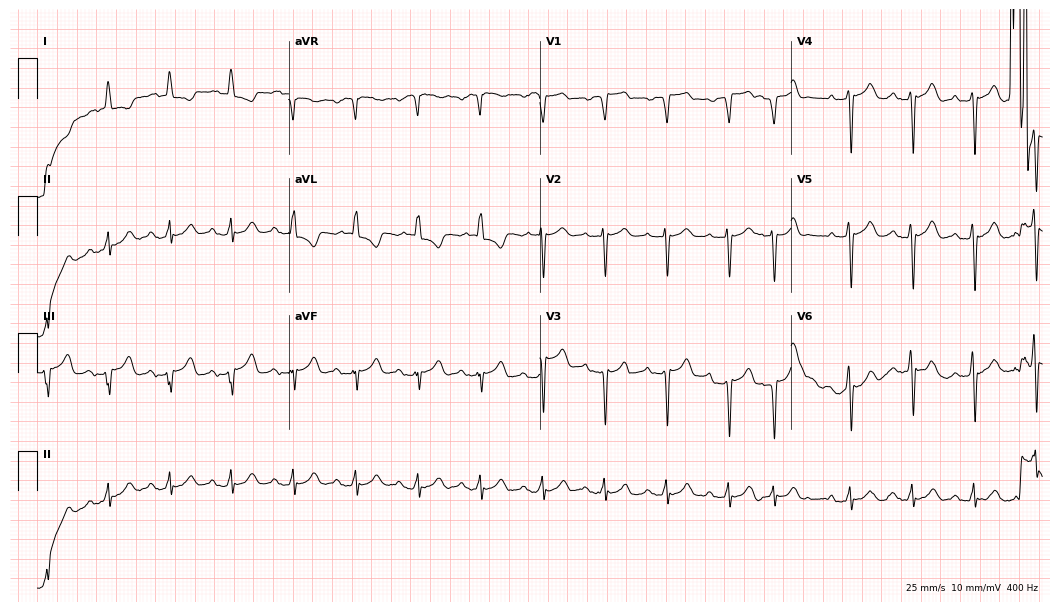
12-lead ECG from a 68-year-old male (10.2-second recording at 400 Hz). No first-degree AV block, right bundle branch block (RBBB), left bundle branch block (LBBB), sinus bradycardia, atrial fibrillation (AF) or sinus tachycardia recorded for this tracing. Only these six findings were labelled.